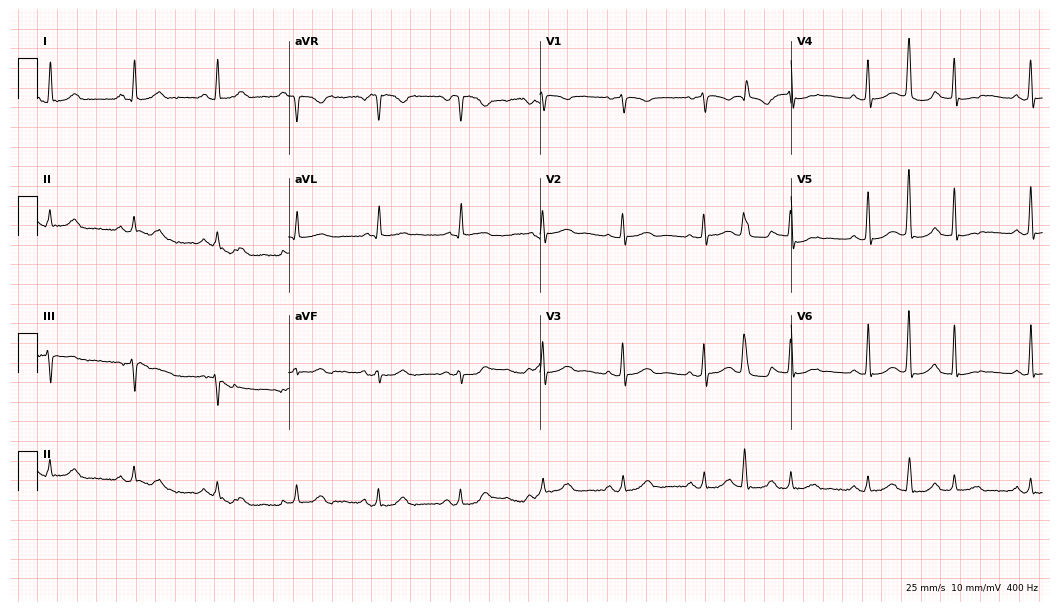
Electrocardiogram (10.2-second recording at 400 Hz), a 48-year-old female. Overall reading on record: normal ECG.